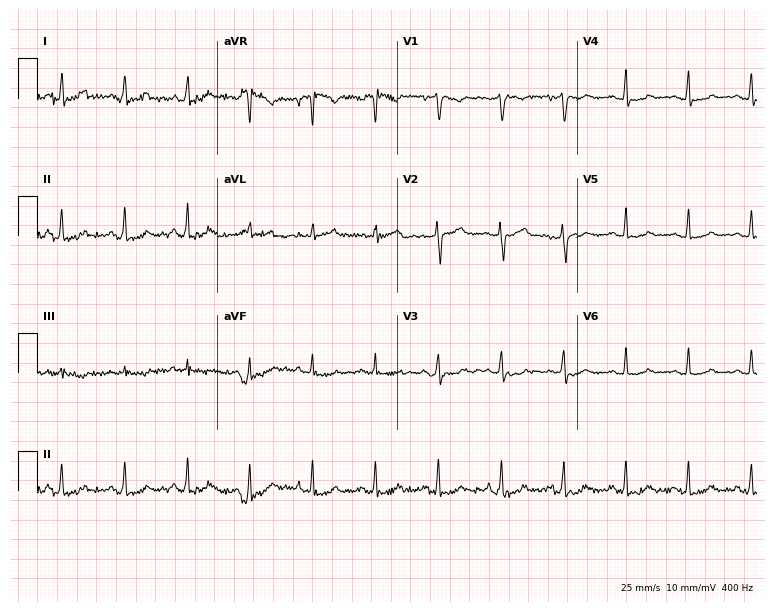
ECG (7.3-second recording at 400 Hz) — a 37-year-old woman. Labelled as a normal ECG.